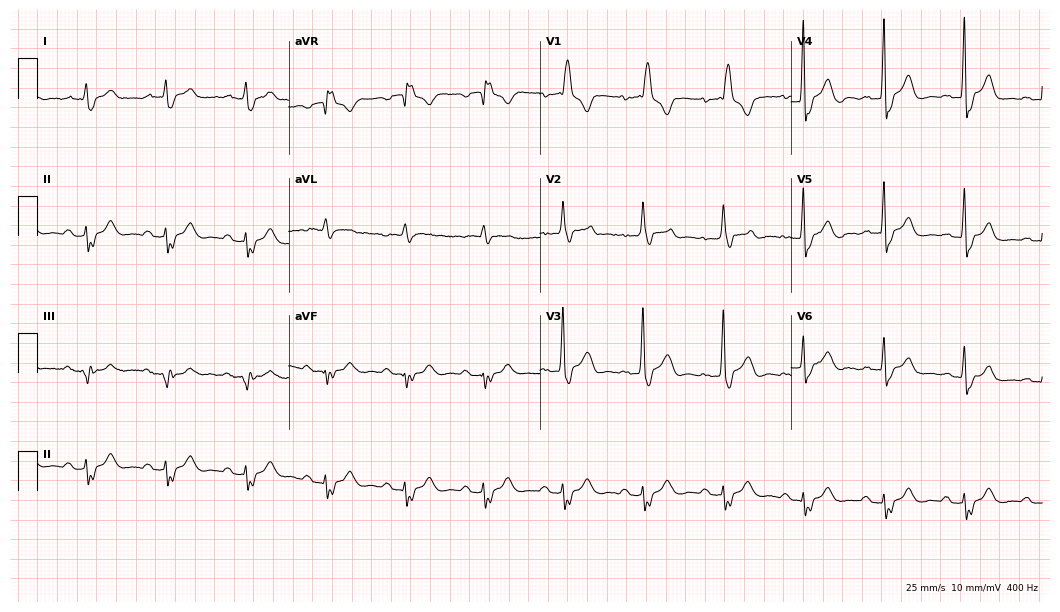
ECG (10.2-second recording at 400 Hz) — a man, 67 years old. Findings include right bundle branch block (RBBB).